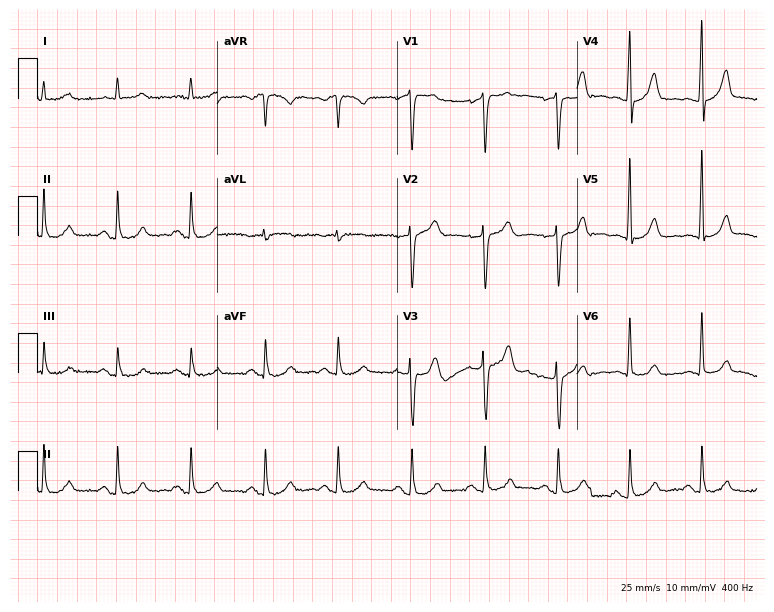
ECG (7.3-second recording at 400 Hz) — a 59-year-old man. Screened for six findings — first-degree AV block, right bundle branch block, left bundle branch block, sinus bradycardia, atrial fibrillation, sinus tachycardia — none is recorded.